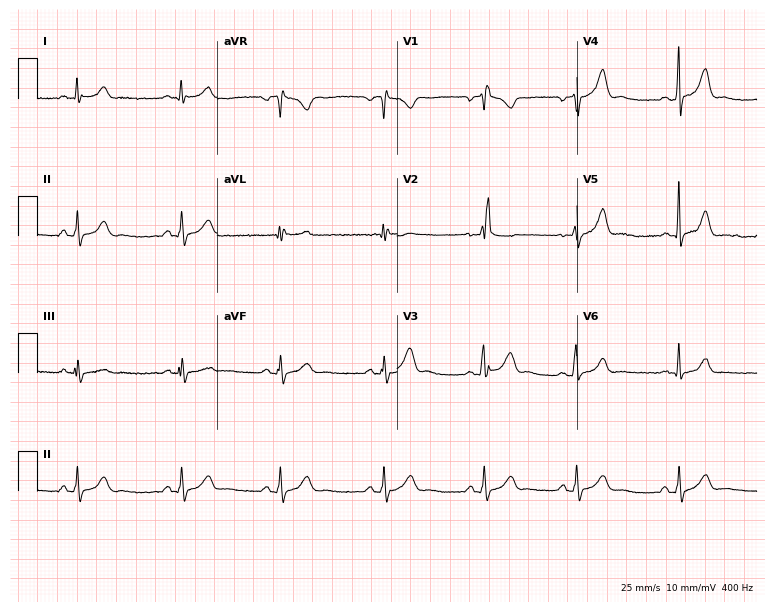
Standard 12-lead ECG recorded from a 33-year-old female patient. None of these six findings is recorded: first-degree AV block, right bundle branch block, left bundle branch block, sinus bradycardia, atrial fibrillation, sinus tachycardia.